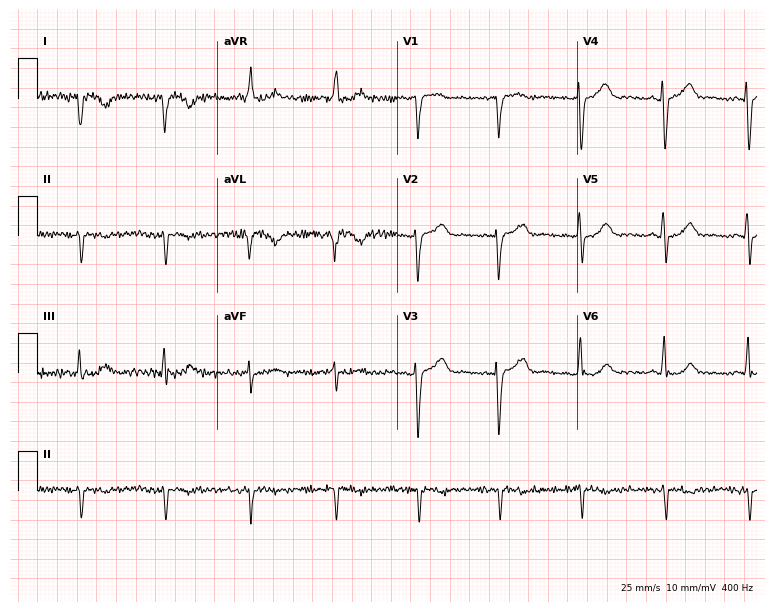
ECG — a 71-year-old female. Screened for six findings — first-degree AV block, right bundle branch block, left bundle branch block, sinus bradycardia, atrial fibrillation, sinus tachycardia — none is recorded. Only these six findings were labelled.